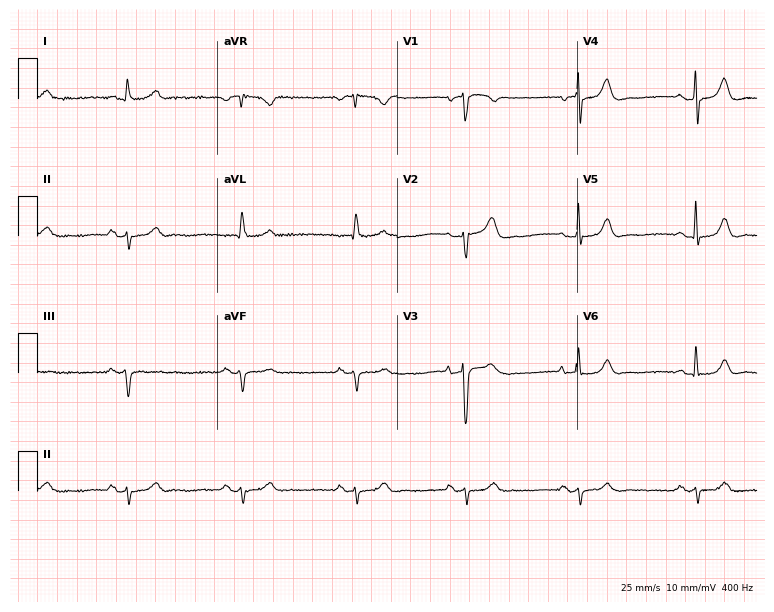
Standard 12-lead ECG recorded from a male, 67 years old. None of these six findings is recorded: first-degree AV block, right bundle branch block, left bundle branch block, sinus bradycardia, atrial fibrillation, sinus tachycardia.